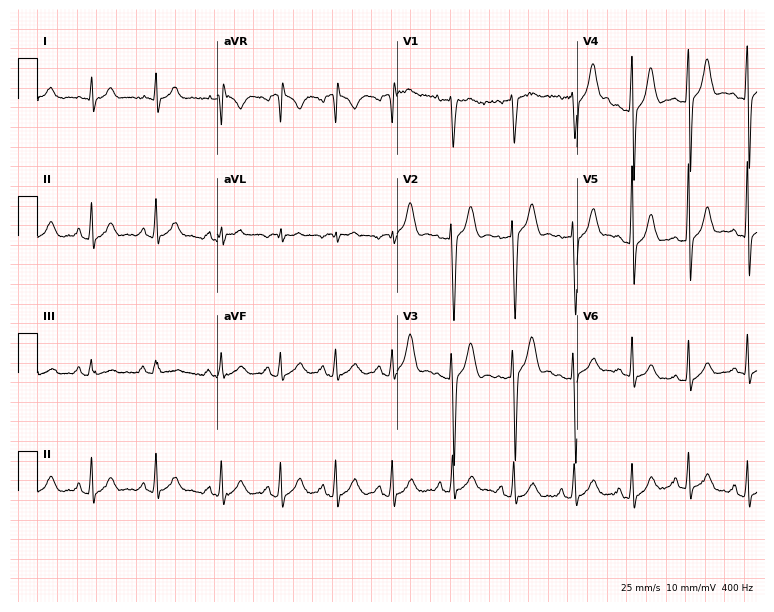
ECG (7.3-second recording at 400 Hz) — a 22-year-old man. Labelled as a normal ECG.